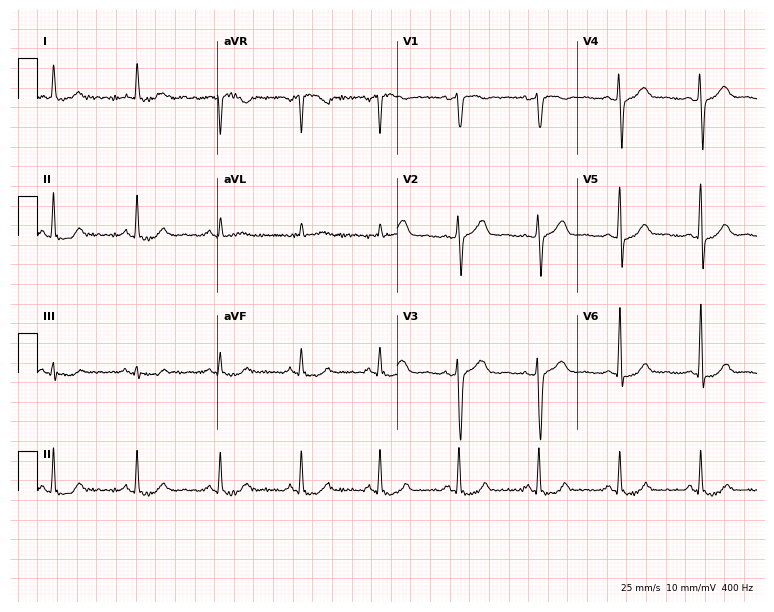
Electrocardiogram (7.3-second recording at 400 Hz), a 54-year-old female patient. Overall reading on record: normal ECG.